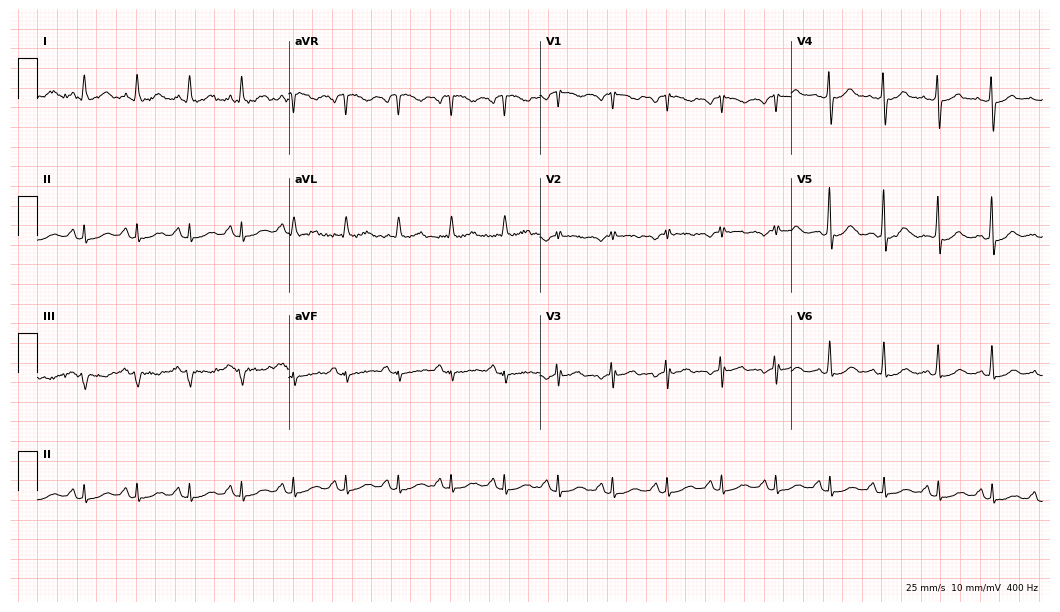
Resting 12-lead electrocardiogram (10.2-second recording at 400 Hz). Patient: a 54-year-old woman. The tracing shows sinus tachycardia (a sinus rate of 100 beats per minute or more).